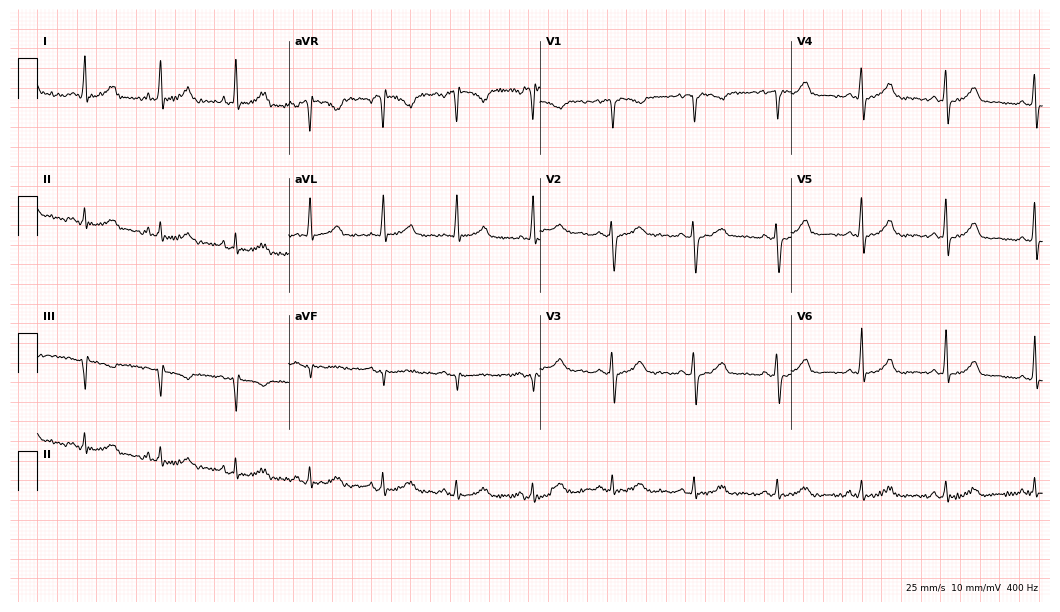
ECG (10.2-second recording at 400 Hz) — a 65-year-old woman. Labelled as a normal ECG.